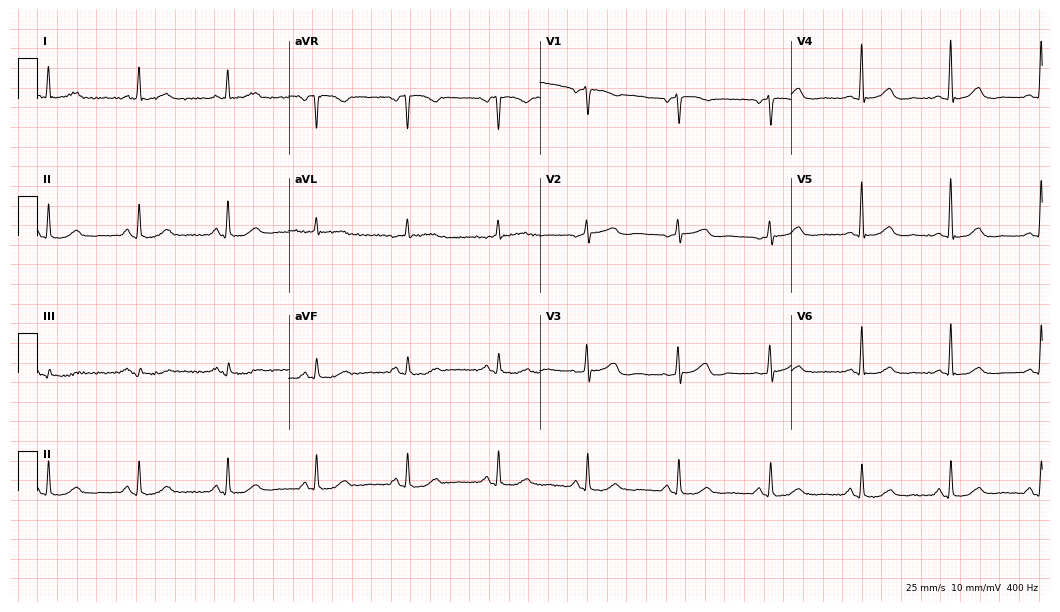
12-lead ECG from a 63-year-old female patient (10.2-second recording at 400 Hz). No first-degree AV block, right bundle branch block (RBBB), left bundle branch block (LBBB), sinus bradycardia, atrial fibrillation (AF) or sinus tachycardia recorded for this tracing.